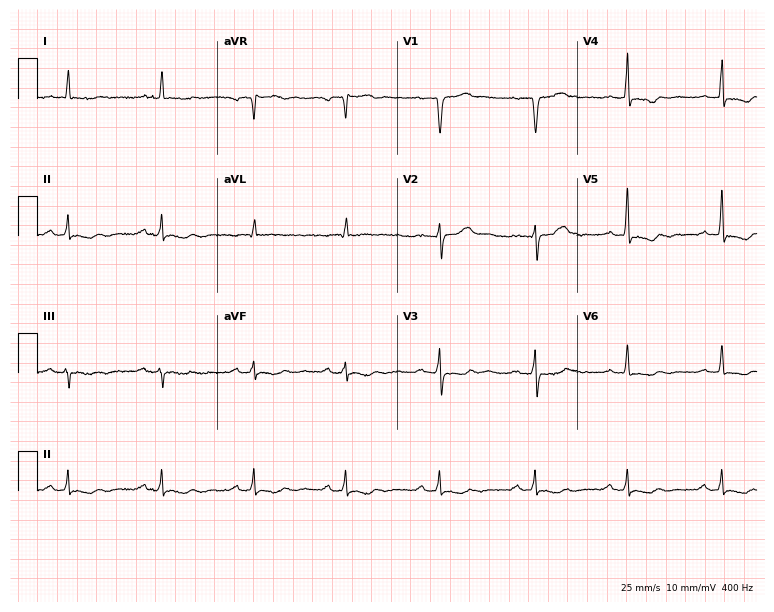
12-lead ECG from an 80-year-old male patient. Labelled as a normal ECG.